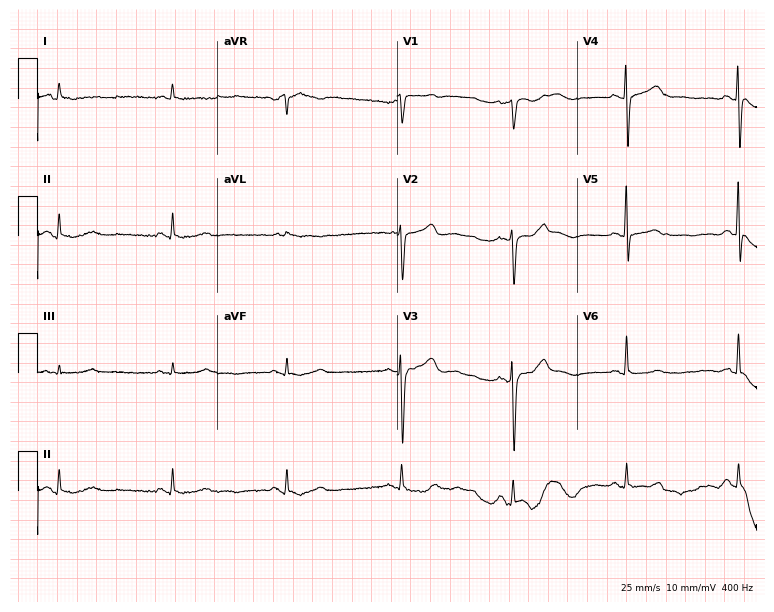
Electrocardiogram, a female, 59 years old. Of the six screened findings (first-degree AV block, right bundle branch block, left bundle branch block, sinus bradycardia, atrial fibrillation, sinus tachycardia), none is recorded. Other findings, if any, are not listed.